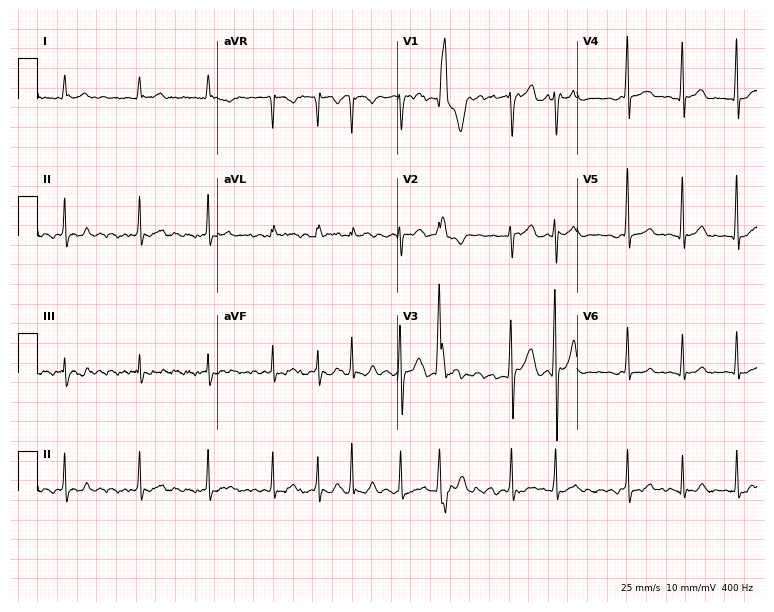
12-lead ECG (7.3-second recording at 400 Hz) from a 30-year-old man. Findings include atrial fibrillation (AF).